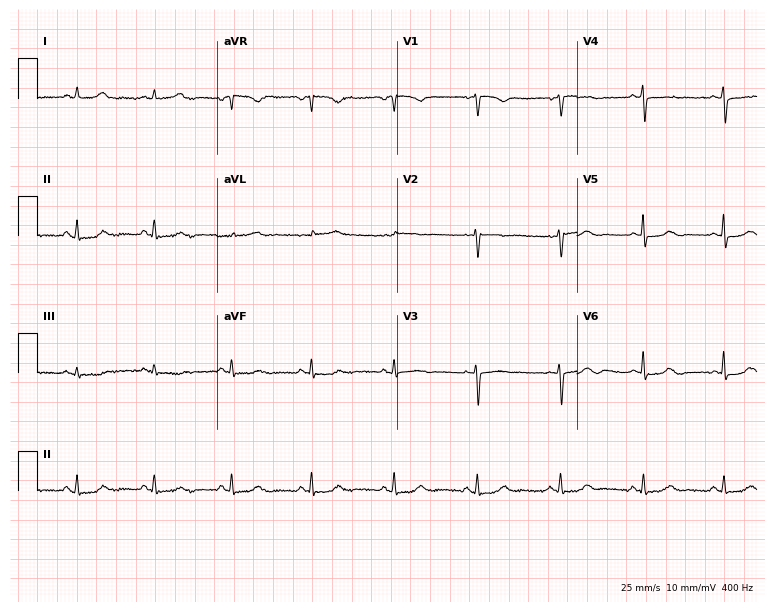
ECG — a woman, 45 years old. Labelled as a normal ECG.